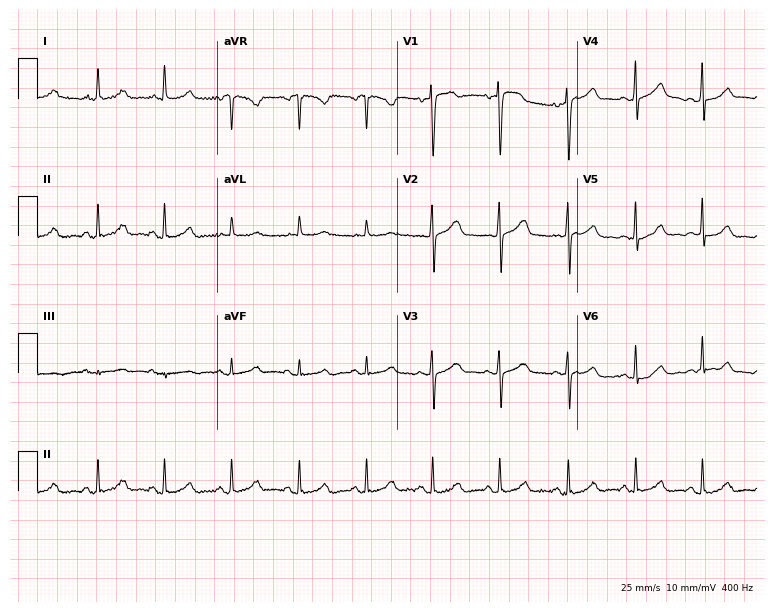
Standard 12-lead ECG recorded from a woman, 35 years old. None of these six findings is recorded: first-degree AV block, right bundle branch block, left bundle branch block, sinus bradycardia, atrial fibrillation, sinus tachycardia.